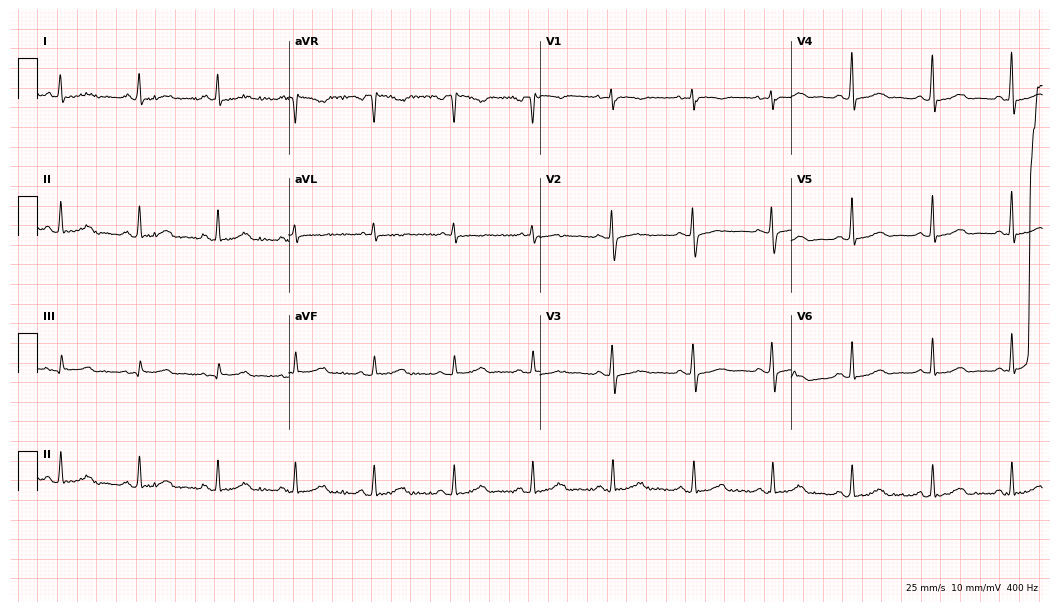
12-lead ECG from a female patient, 58 years old. Recorded interpretation: within normal limits.